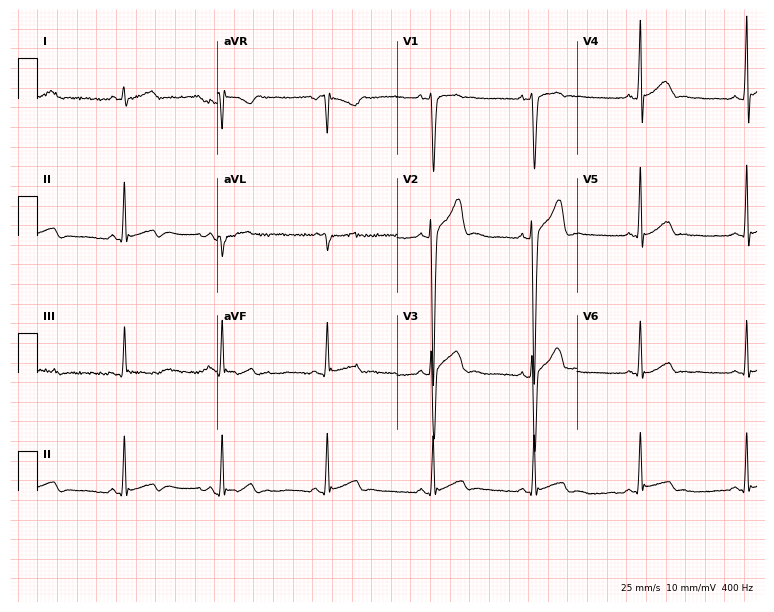
Resting 12-lead electrocardiogram. Patient: an 18-year-old man. None of these six findings is recorded: first-degree AV block, right bundle branch block (RBBB), left bundle branch block (LBBB), sinus bradycardia, atrial fibrillation (AF), sinus tachycardia. Findings outside these six are not listed.